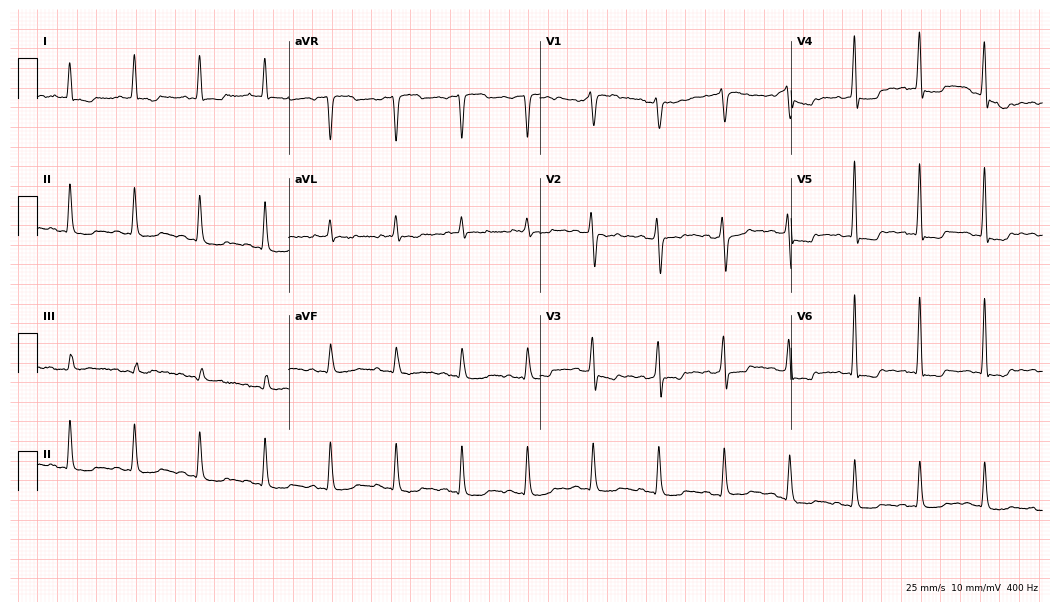
Electrocardiogram, a 48-year-old male patient. Of the six screened findings (first-degree AV block, right bundle branch block, left bundle branch block, sinus bradycardia, atrial fibrillation, sinus tachycardia), none is recorded.